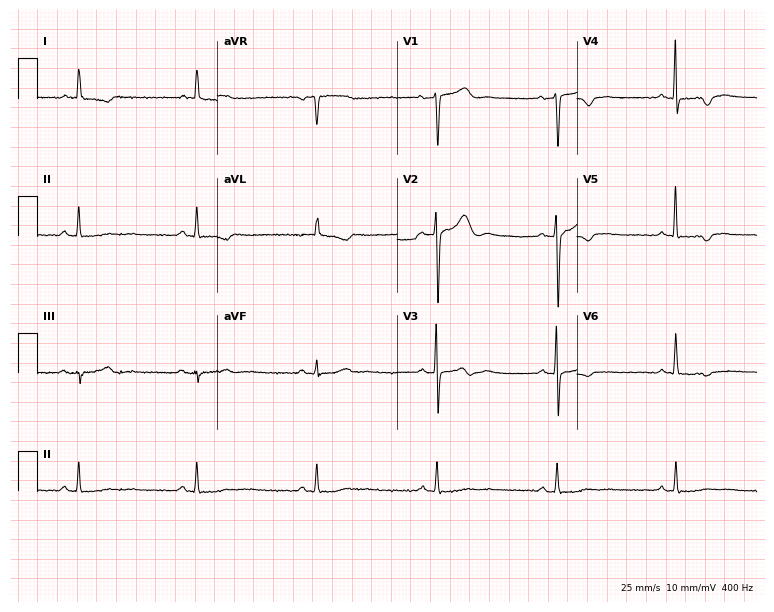
Electrocardiogram (7.3-second recording at 400 Hz), a 78-year-old female patient. Of the six screened findings (first-degree AV block, right bundle branch block, left bundle branch block, sinus bradycardia, atrial fibrillation, sinus tachycardia), none is recorded.